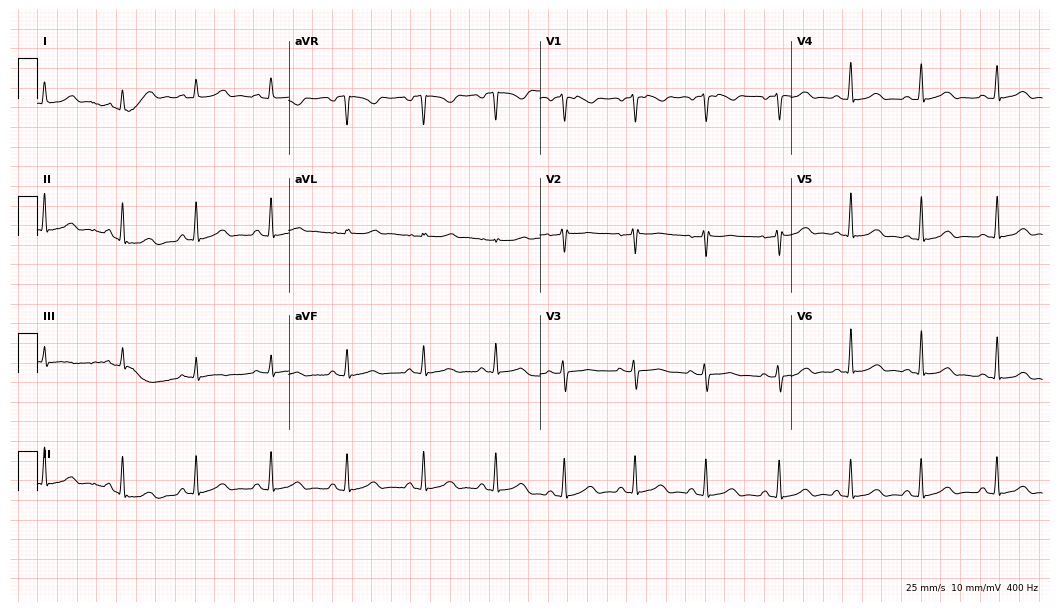
12-lead ECG (10.2-second recording at 400 Hz) from a female, 18 years old. Labelled as a normal ECG.